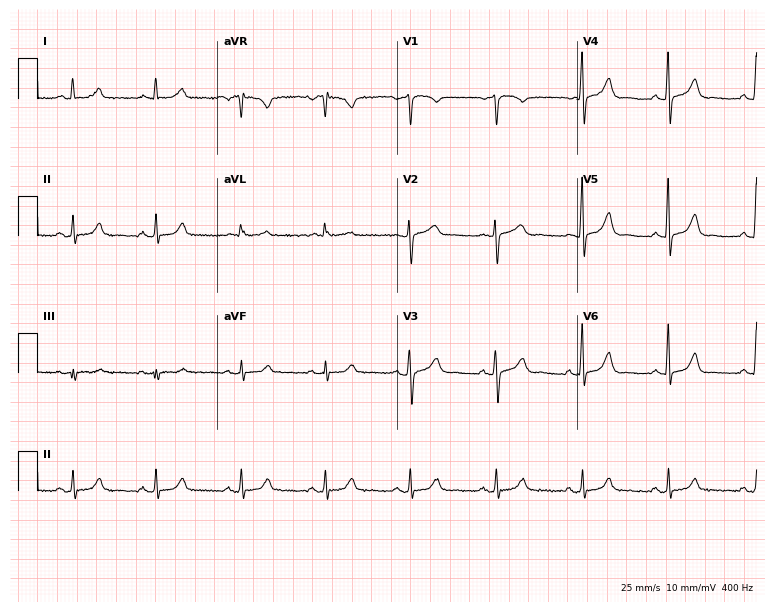
12-lead ECG (7.3-second recording at 400 Hz) from a female, 65 years old. Labelled as a normal ECG.